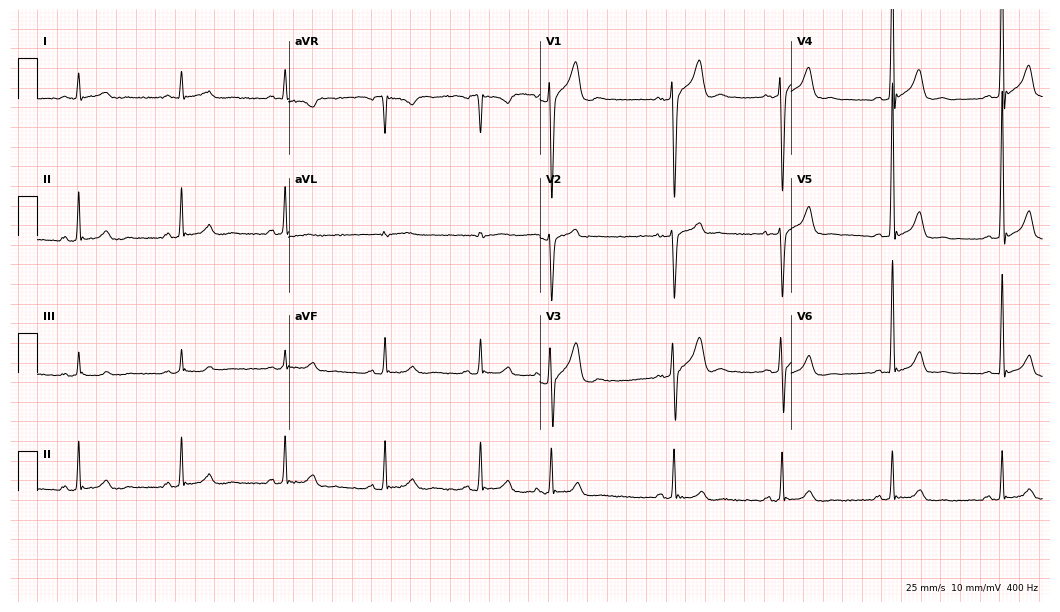
12-lead ECG (10.2-second recording at 400 Hz) from a male, 45 years old. Screened for six findings — first-degree AV block, right bundle branch block (RBBB), left bundle branch block (LBBB), sinus bradycardia, atrial fibrillation (AF), sinus tachycardia — none is recorded. Other findings, if any, are not listed.